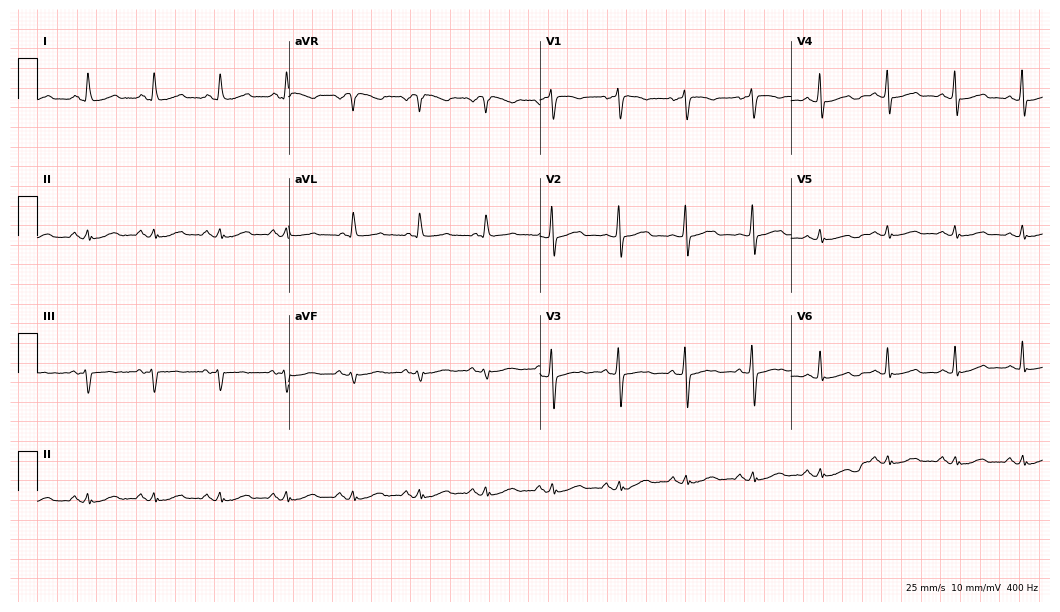
ECG — a 61-year-old woman. Screened for six findings — first-degree AV block, right bundle branch block, left bundle branch block, sinus bradycardia, atrial fibrillation, sinus tachycardia — none is recorded. Only these six findings were labelled.